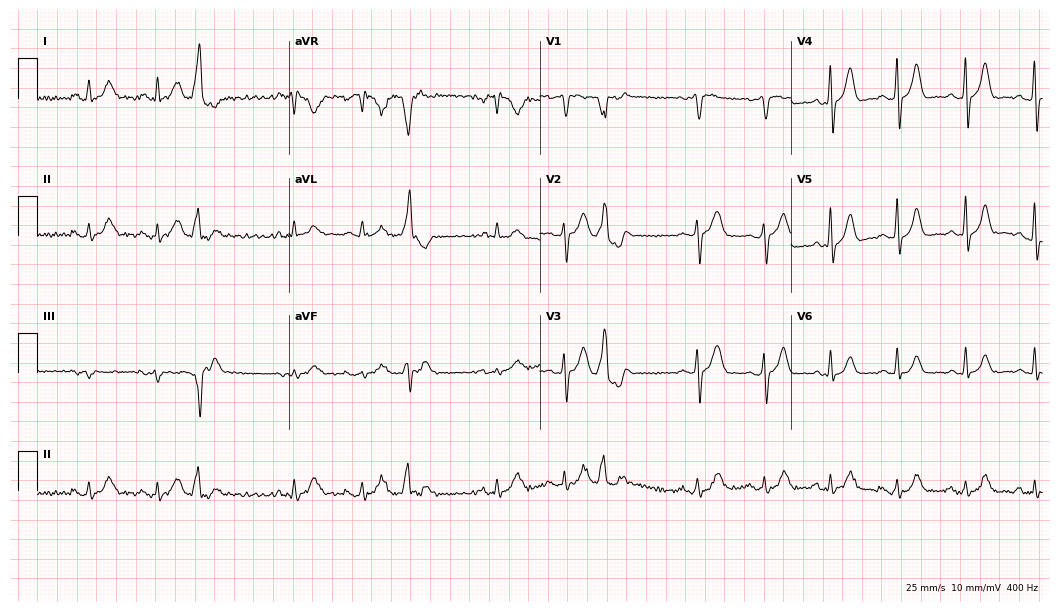
ECG (10.2-second recording at 400 Hz) — a 78-year-old male. Labelled as a normal ECG.